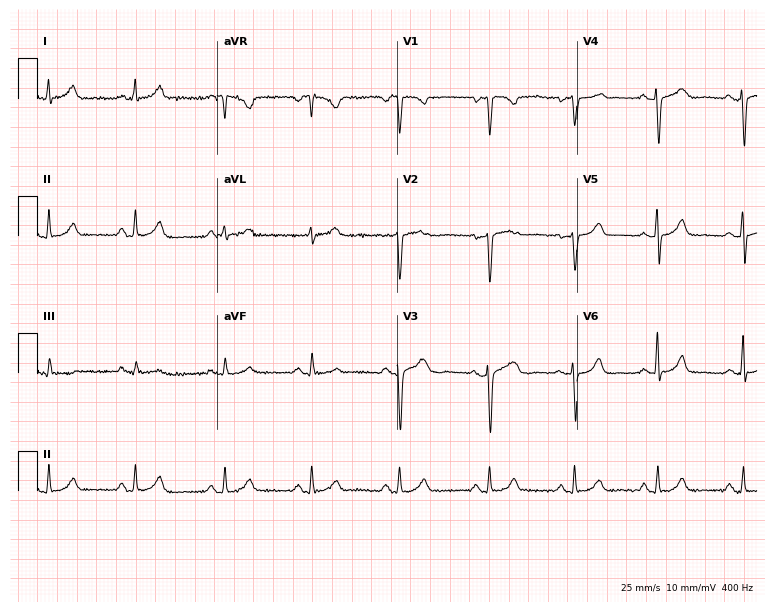
12-lead ECG from a female, 46 years old. No first-degree AV block, right bundle branch block, left bundle branch block, sinus bradycardia, atrial fibrillation or sinus tachycardia recorded for this tracing. Other findings, if any, are not listed.